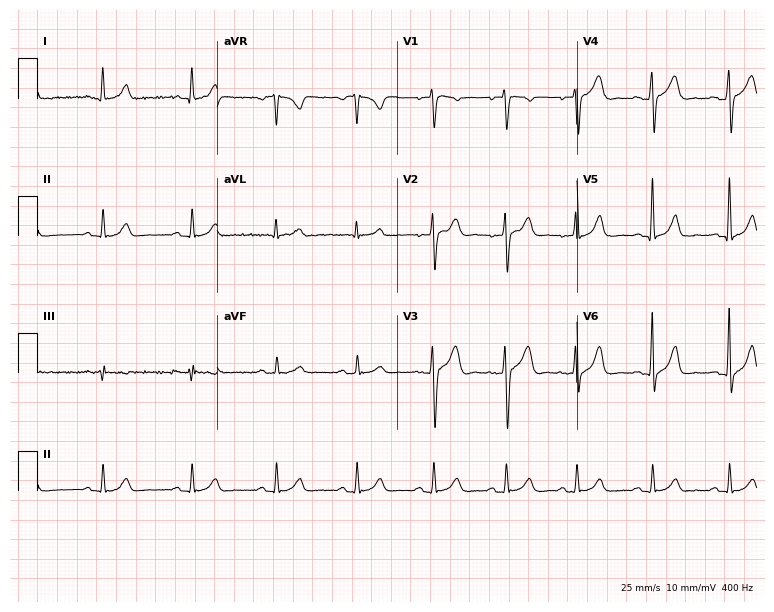
Standard 12-lead ECG recorded from a 43-year-old male (7.3-second recording at 400 Hz). Read as a normal ECG.